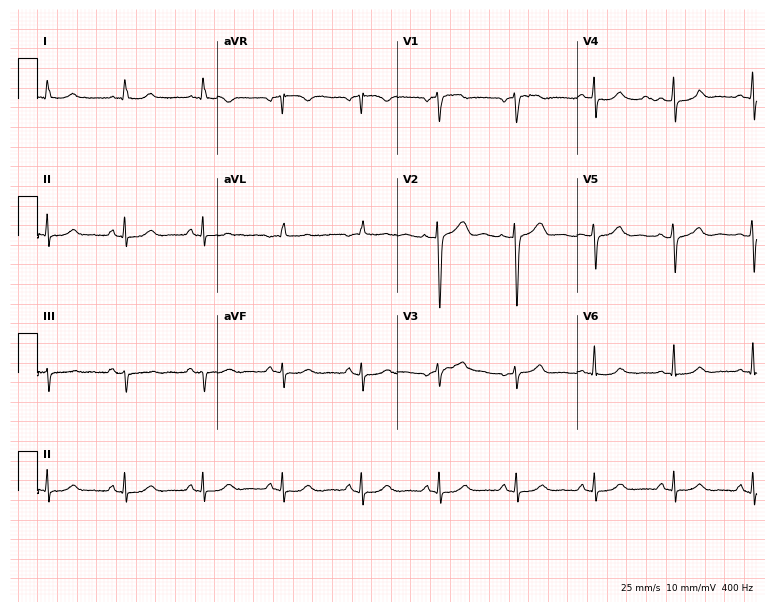
Electrocardiogram, a 71-year-old man. Of the six screened findings (first-degree AV block, right bundle branch block, left bundle branch block, sinus bradycardia, atrial fibrillation, sinus tachycardia), none is recorded. Other findings, if any, are not listed.